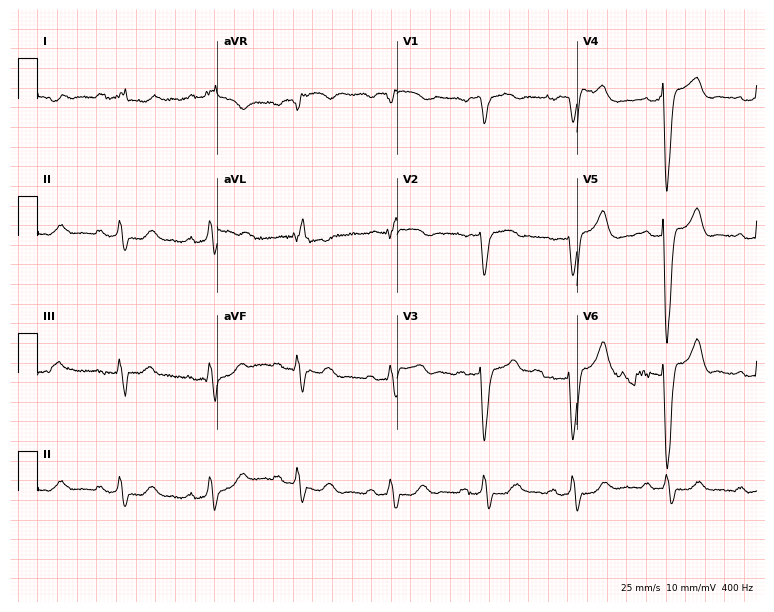
12-lead ECG (7.3-second recording at 400 Hz) from a woman, 61 years old. Screened for six findings — first-degree AV block, right bundle branch block, left bundle branch block, sinus bradycardia, atrial fibrillation, sinus tachycardia — none is recorded.